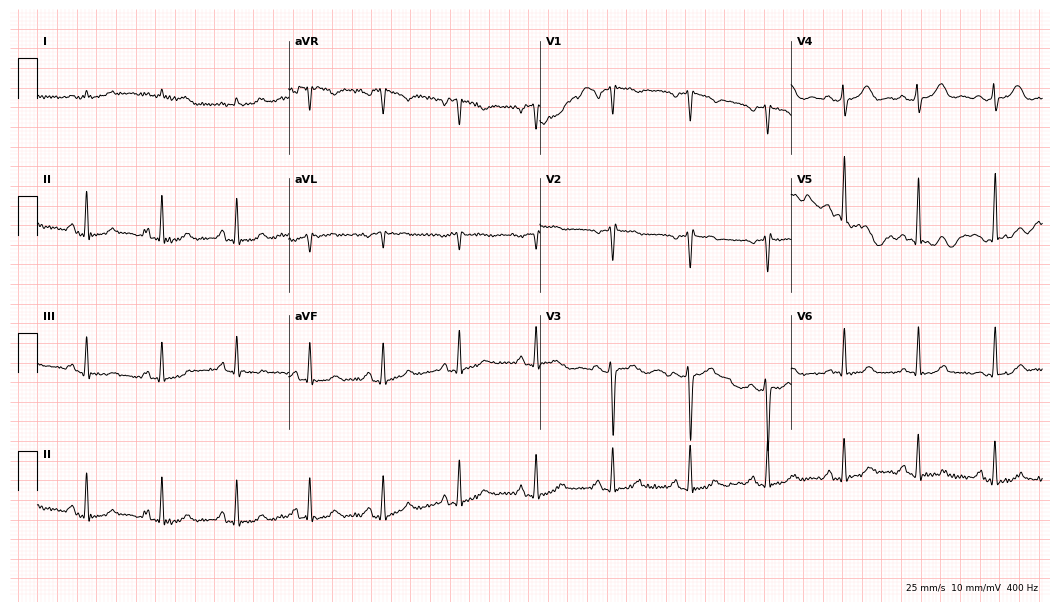
12-lead ECG from a 53-year-old female patient. Recorded interpretation: within normal limits.